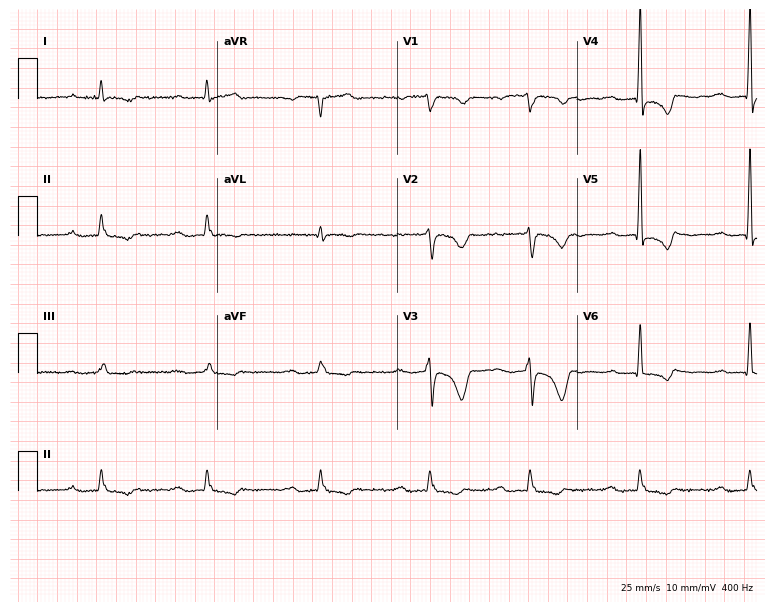
Standard 12-lead ECG recorded from a male, 78 years old (7.3-second recording at 400 Hz). None of these six findings is recorded: first-degree AV block, right bundle branch block, left bundle branch block, sinus bradycardia, atrial fibrillation, sinus tachycardia.